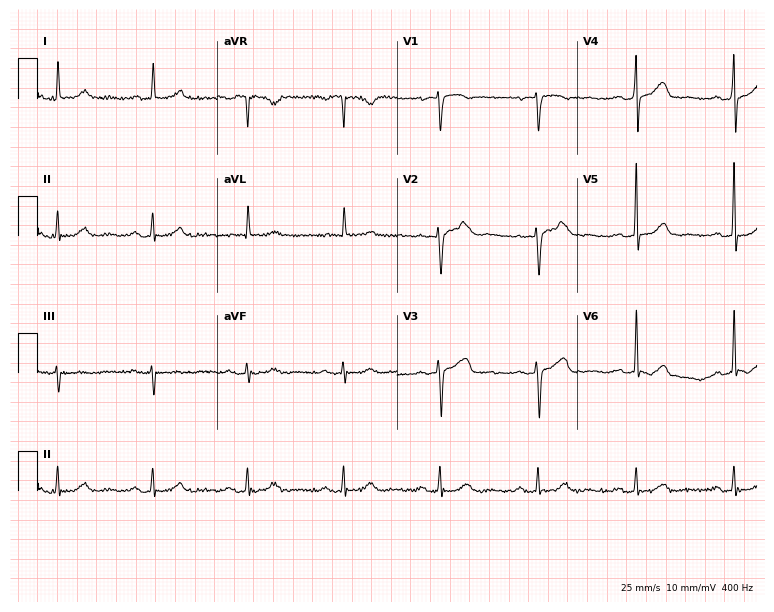
12-lead ECG from a 77-year-old female patient. Labelled as a normal ECG.